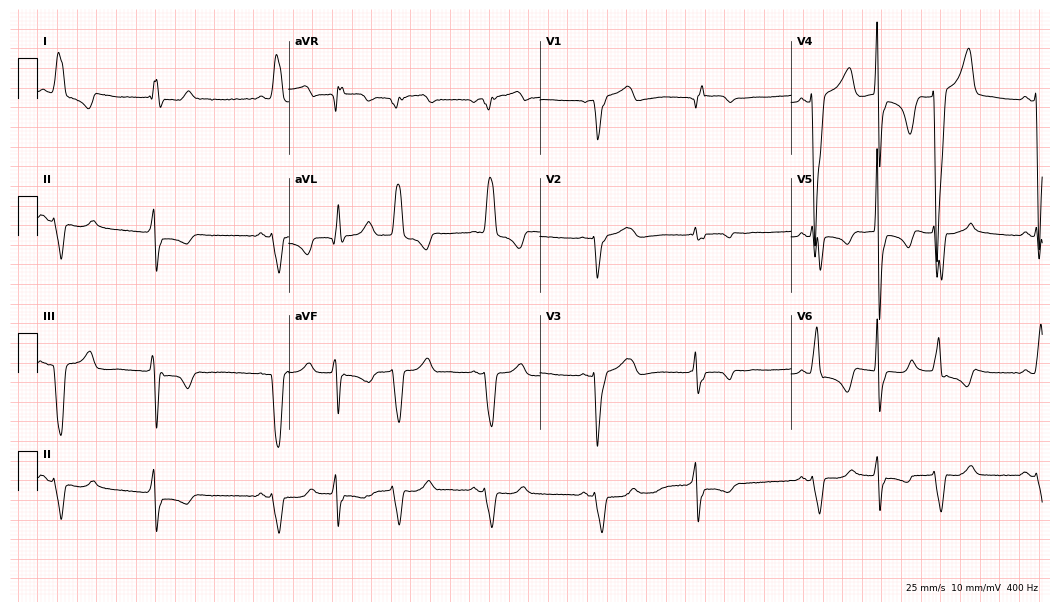
12-lead ECG from an 84-year-old female (10.2-second recording at 400 Hz). Shows left bundle branch block.